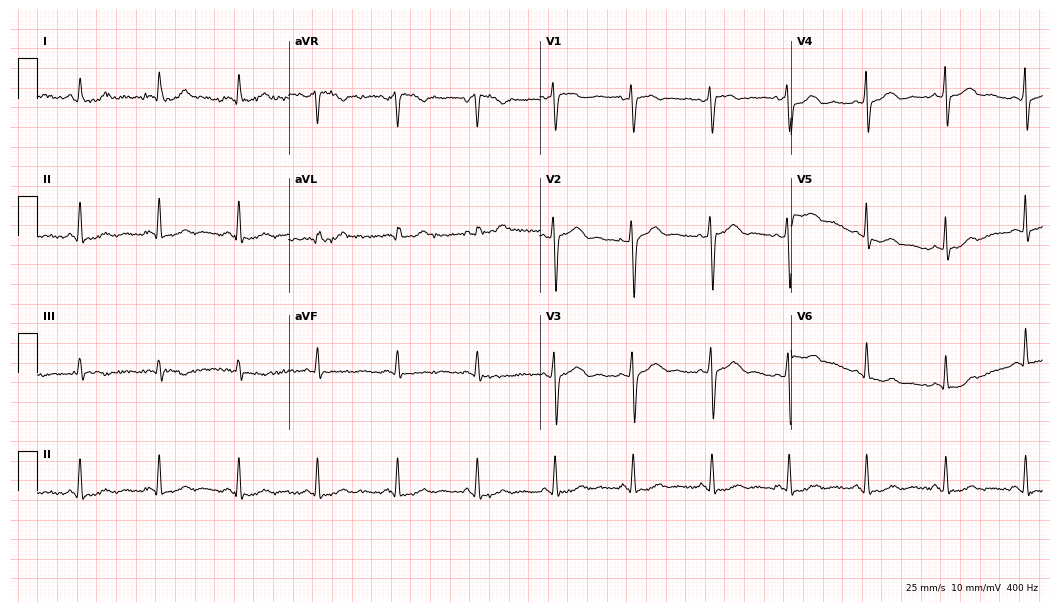
12-lead ECG (10.2-second recording at 400 Hz) from a woman, 45 years old. Labelled as a normal ECG.